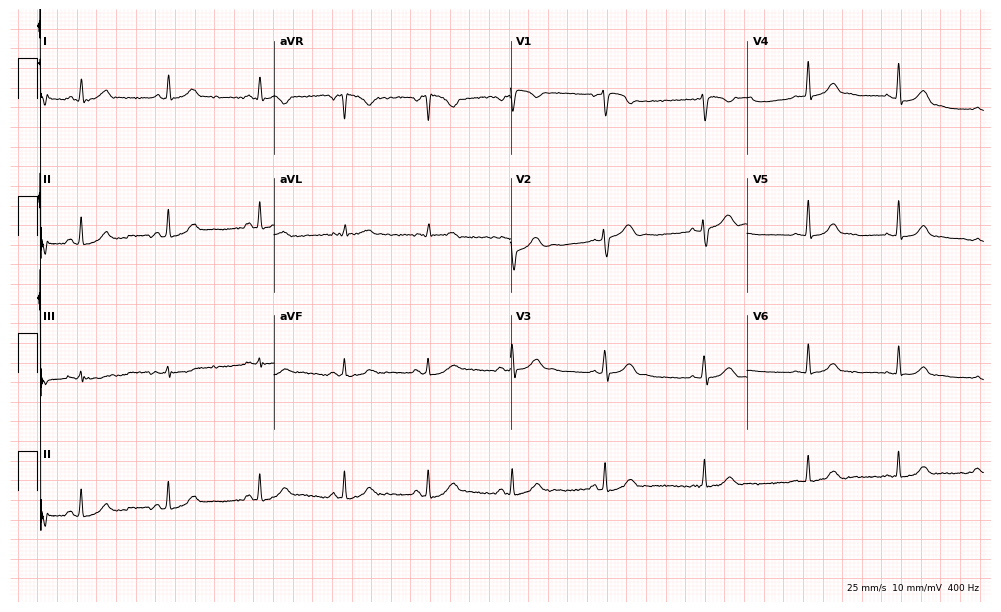
Resting 12-lead electrocardiogram. Patient: a woman, 23 years old. Read as a normal ECG.